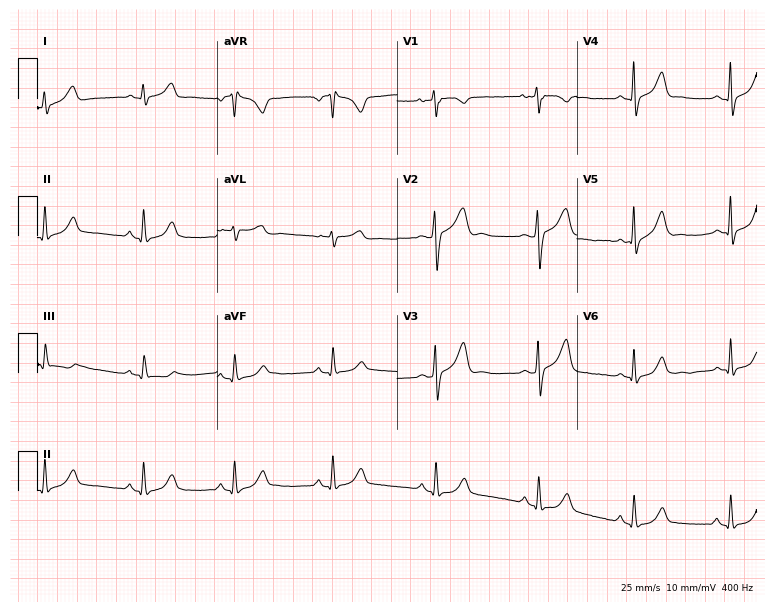
12-lead ECG from a 33-year-old female patient. No first-degree AV block, right bundle branch block (RBBB), left bundle branch block (LBBB), sinus bradycardia, atrial fibrillation (AF) or sinus tachycardia recorded for this tracing. Only these six findings were labelled.